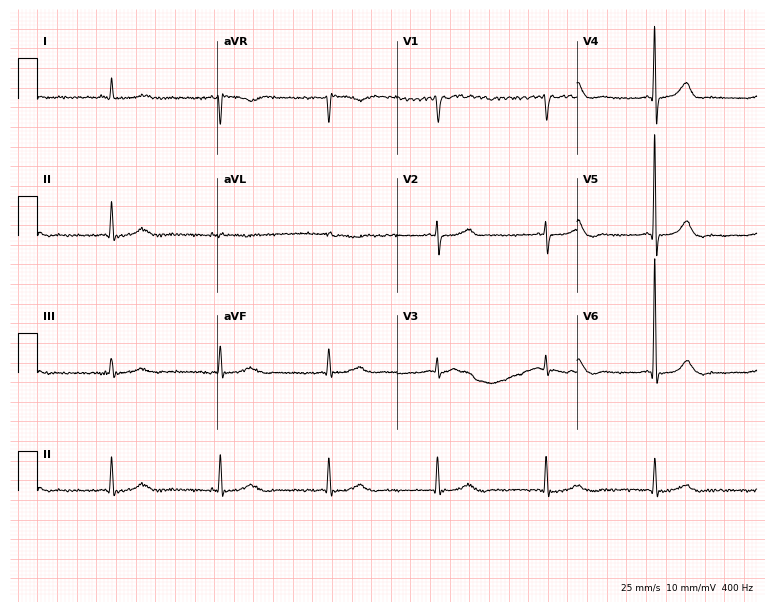
12-lead ECG from an 84-year-old male patient. Recorded interpretation: within normal limits.